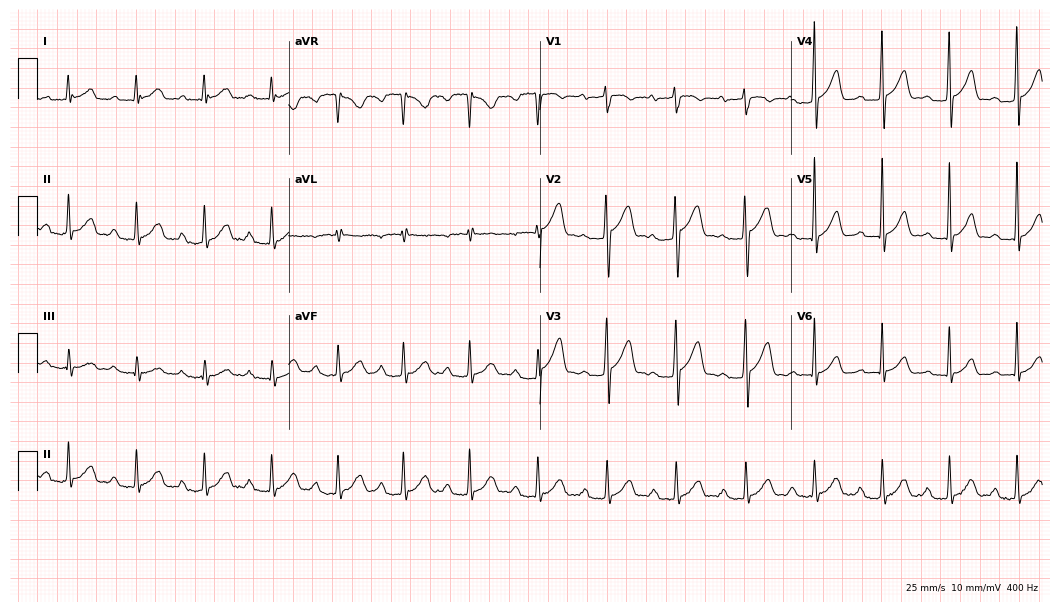
Electrocardiogram (10.2-second recording at 400 Hz), a female patient, 39 years old. Interpretation includes first-degree AV block.